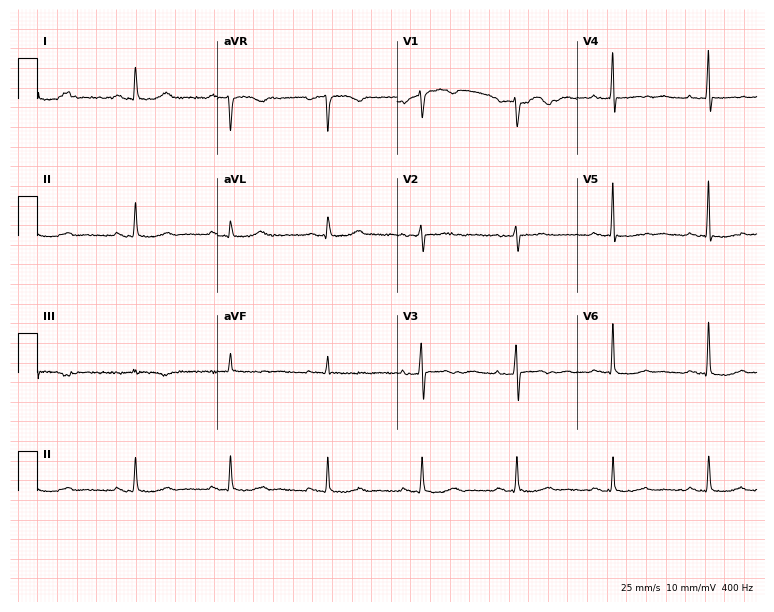
Resting 12-lead electrocardiogram. Patient: a 66-year-old female. None of these six findings is recorded: first-degree AV block, right bundle branch block, left bundle branch block, sinus bradycardia, atrial fibrillation, sinus tachycardia. Other findings, if any, are not listed.